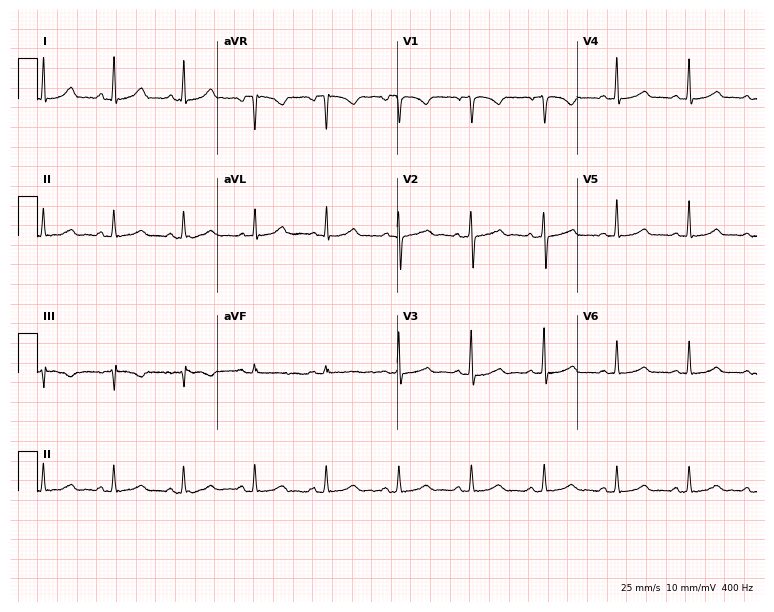
12-lead ECG from a 50-year-old woman. Recorded interpretation: within normal limits.